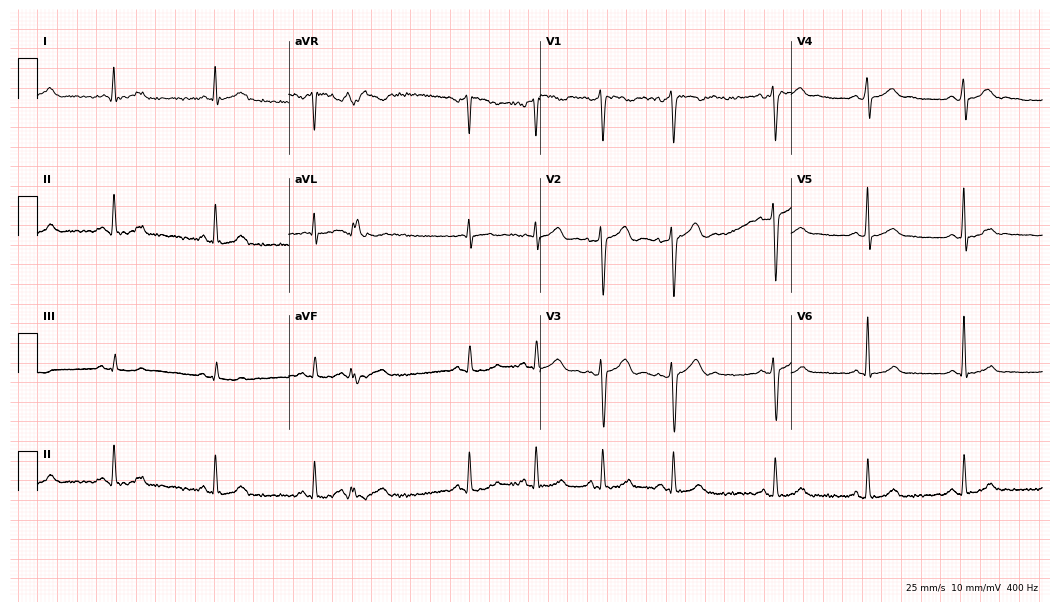
ECG (10.2-second recording at 400 Hz) — a 32-year-old man. Labelled as a normal ECG.